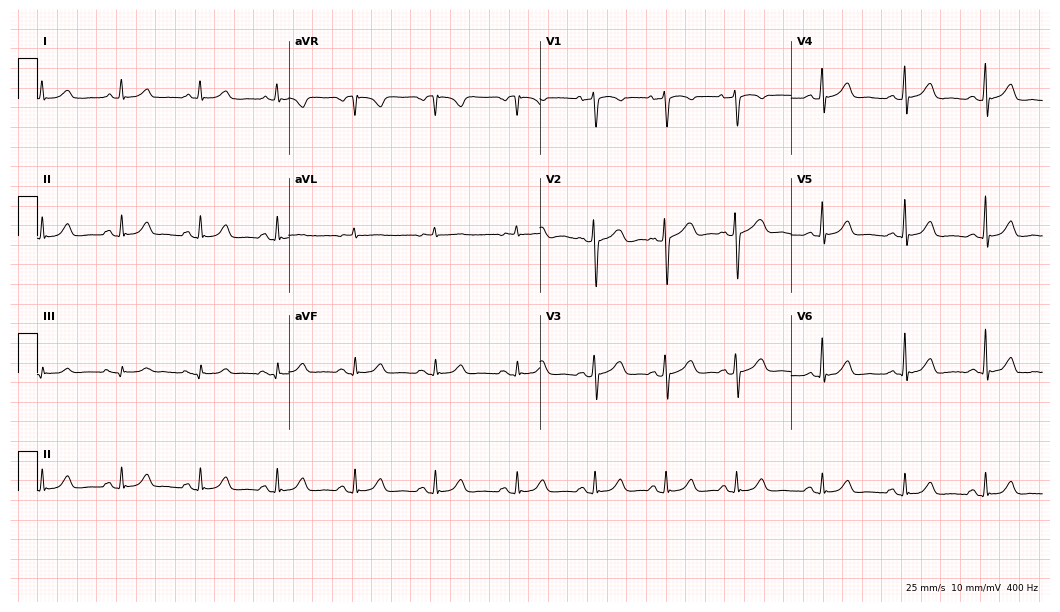
12-lead ECG from a female patient, 61 years old. Recorded interpretation: within normal limits.